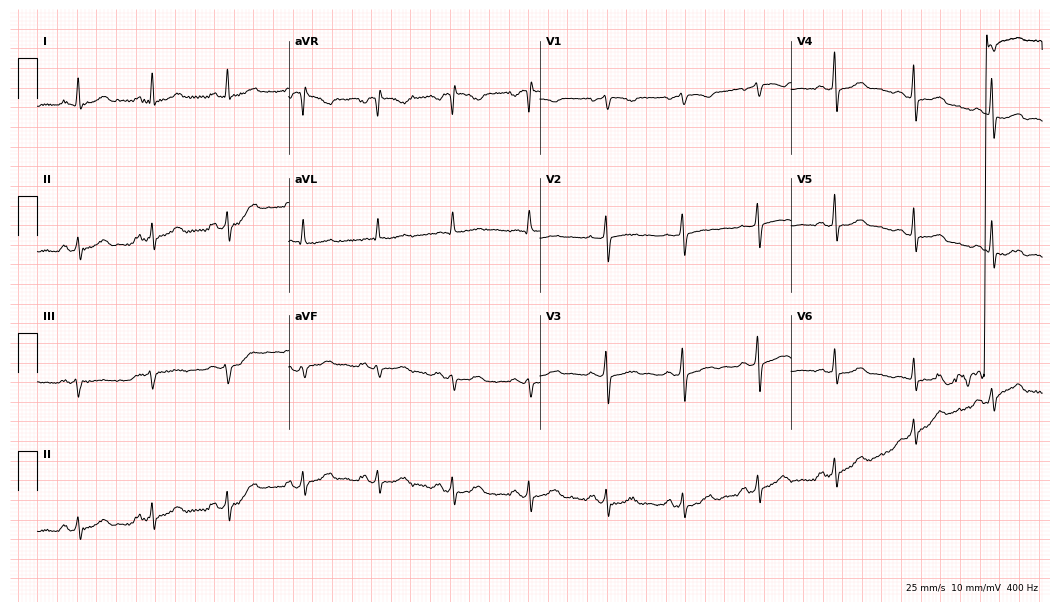
Electrocardiogram, a 63-year-old female. Overall reading on record: normal ECG.